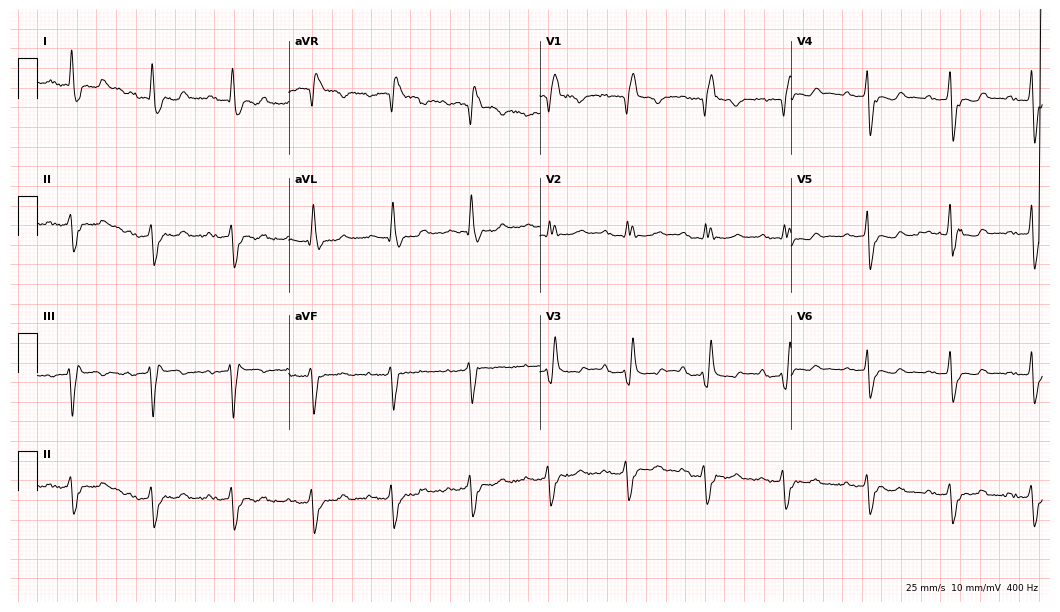
ECG — a 62-year-old female. Findings include first-degree AV block, right bundle branch block (RBBB).